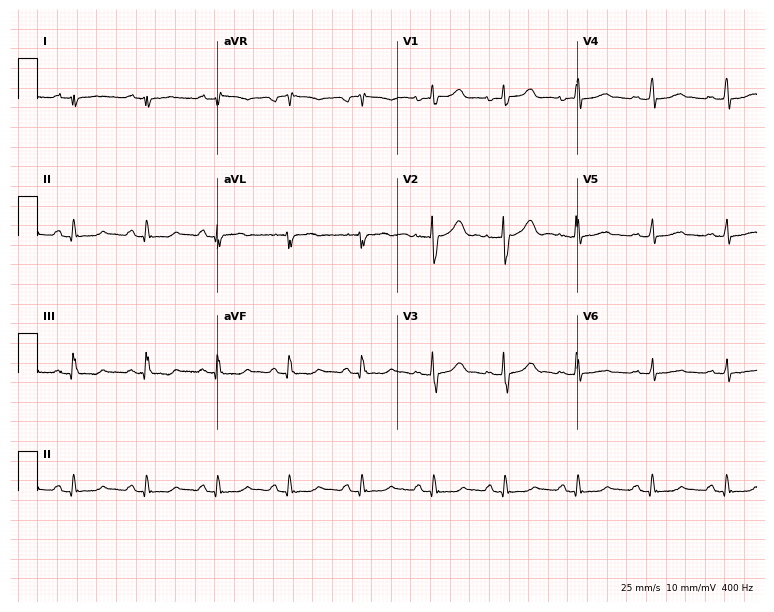
Standard 12-lead ECG recorded from a woman, 23 years old. Read as a normal ECG.